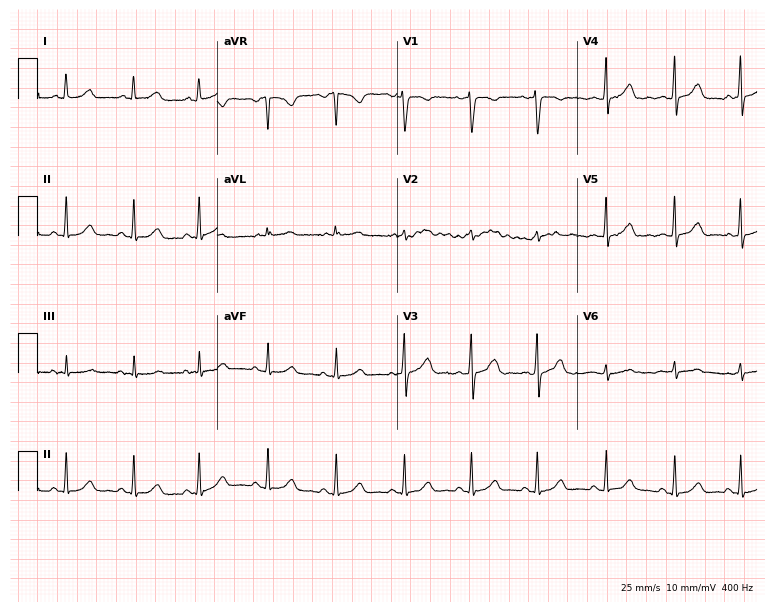
Standard 12-lead ECG recorded from a female, 38 years old. Read as a normal ECG.